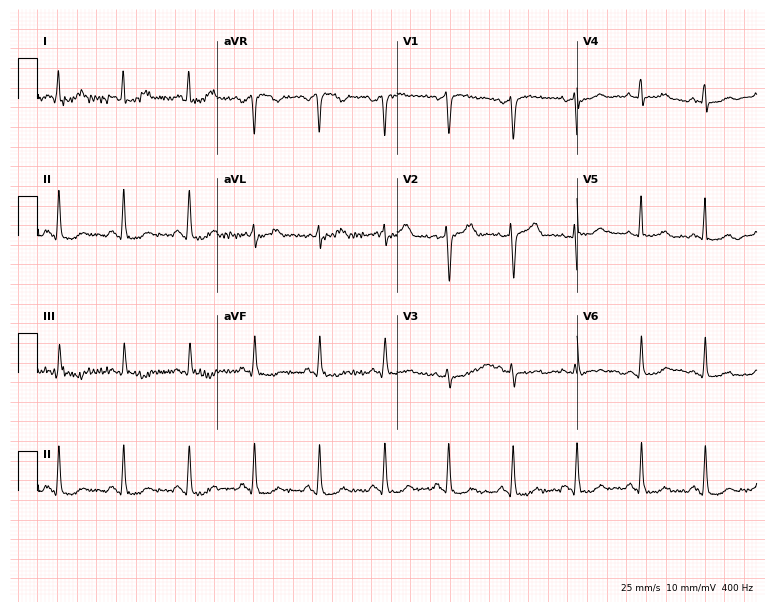
Electrocardiogram, a 48-year-old woman. Overall reading on record: normal ECG.